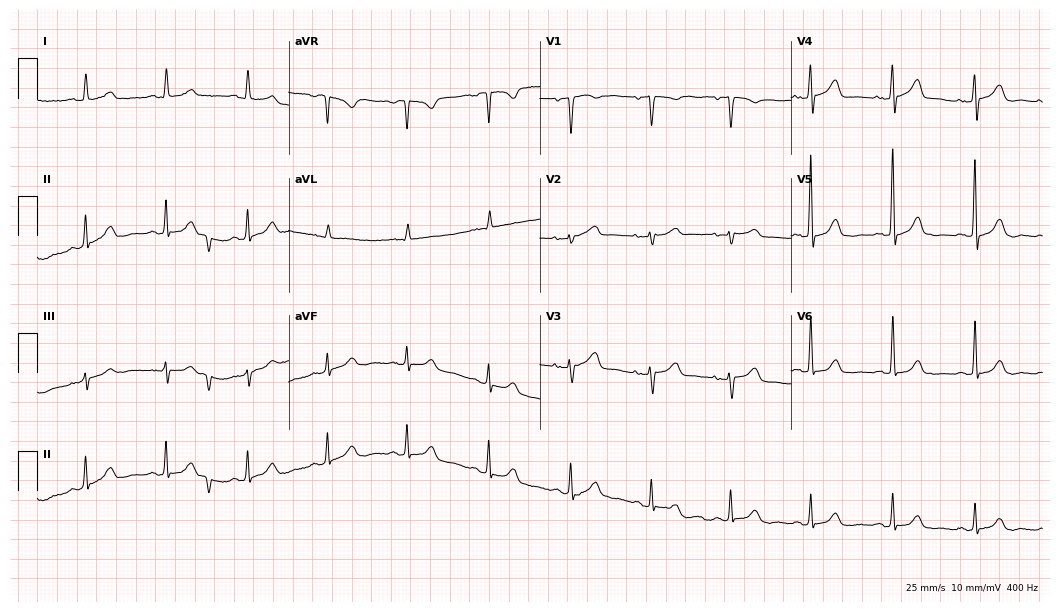
12-lead ECG from a female, 78 years old (10.2-second recording at 400 Hz). Recorded interpretation: within normal limits.